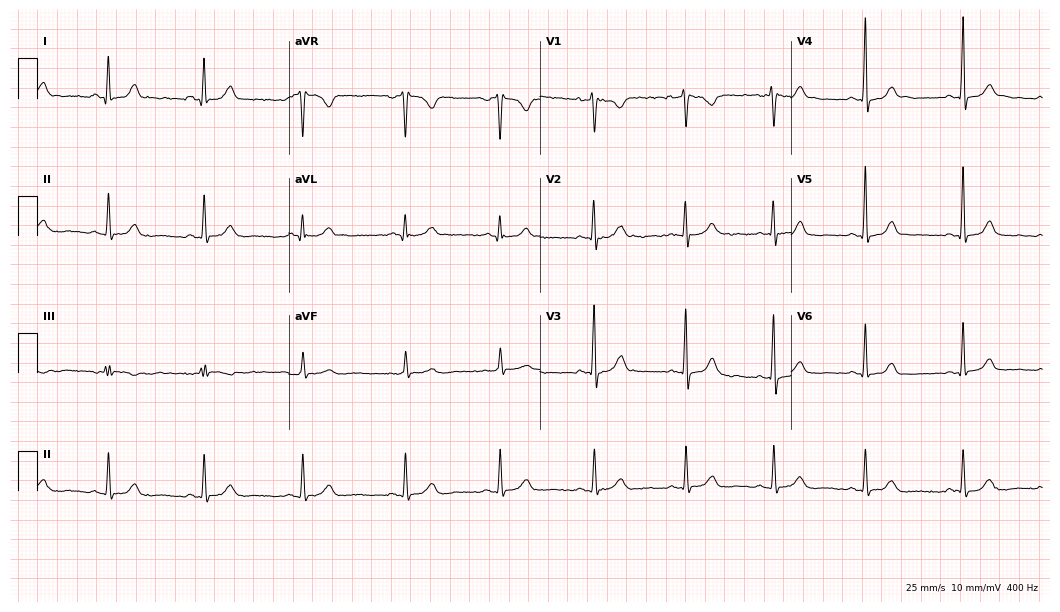
Standard 12-lead ECG recorded from a woman, 39 years old. None of these six findings is recorded: first-degree AV block, right bundle branch block (RBBB), left bundle branch block (LBBB), sinus bradycardia, atrial fibrillation (AF), sinus tachycardia.